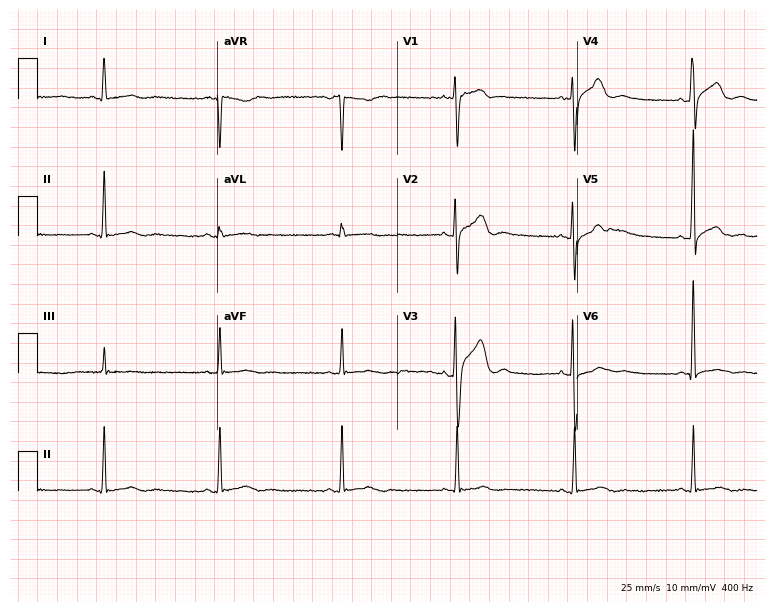
12-lead ECG from a male patient, 42 years old. Screened for six findings — first-degree AV block, right bundle branch block (RBBB), left bundle branch block (LBBB), sinus bradycardia, atrial fibrillation (AF), sinus tachycardia — none is recorded.